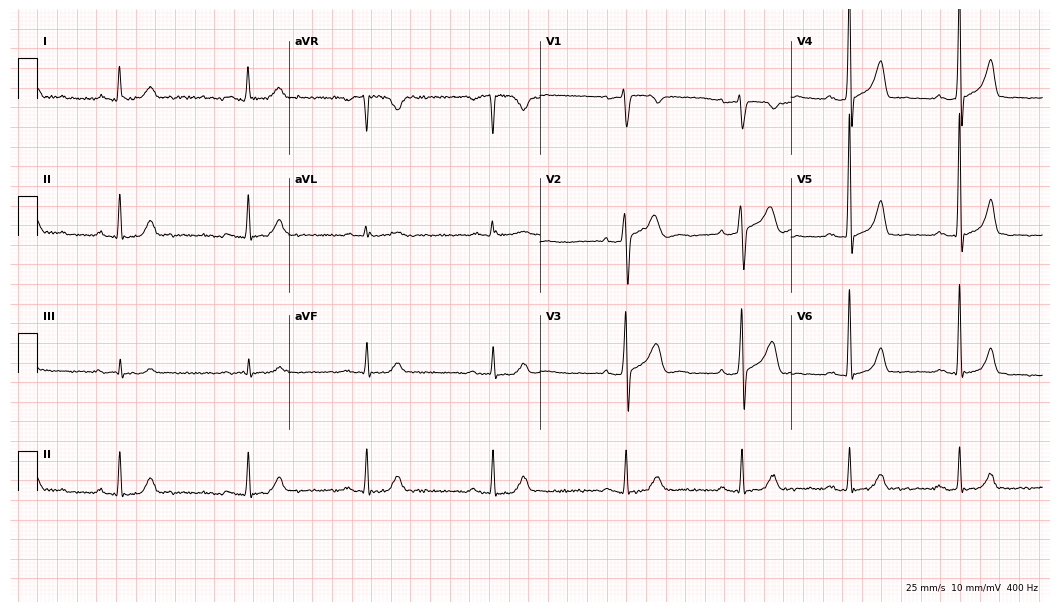
Resting 12-lead electrocardiogram (10.2-second recording at 400 Hz). Patient: a male, 68 years old. The tracing shows first-degree AV block, right bundle branch block.